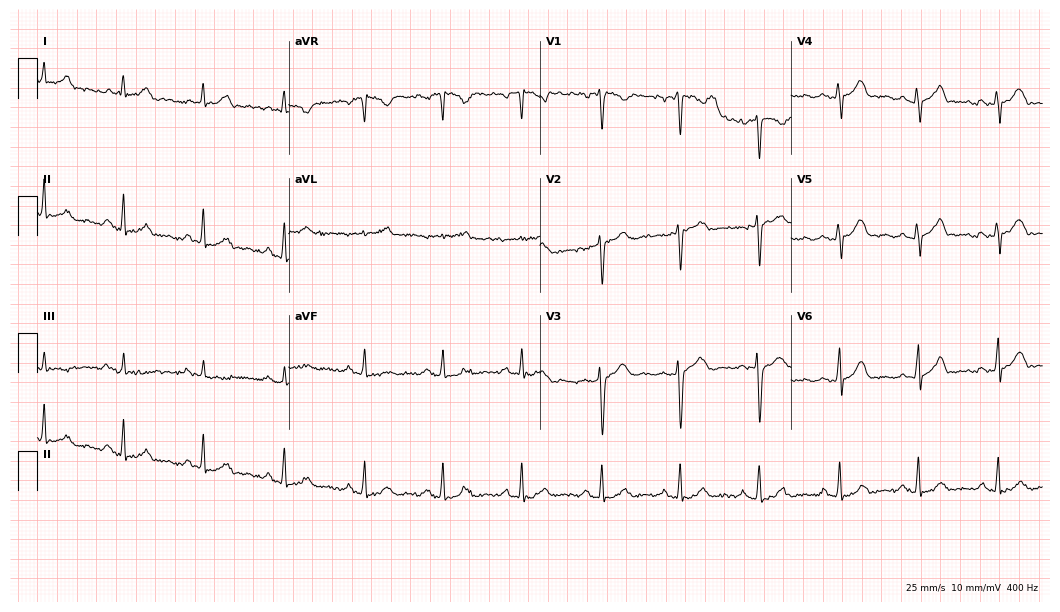
12-lead ECG (10.2-second recording at 400 Hz) from a 34-year-old woman. Labelled as a normal ECG.